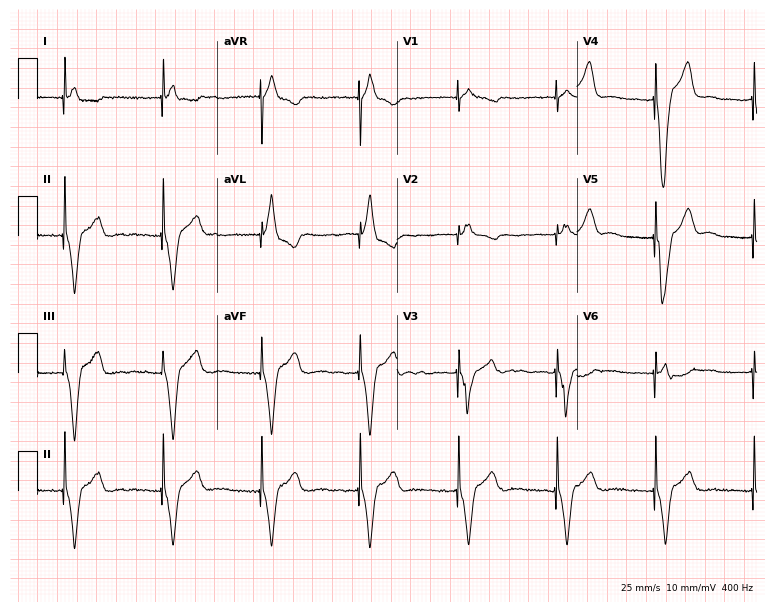
Standard 12-lead ECG recorded from a woman, 71 years old. None of these six findings is recorded: first-degree AV block, right bundle branch block (RBBB), left bundle branch block (LBBB), sinus bradycardia, atrial fibrillation (AF), sinus tachycardia.